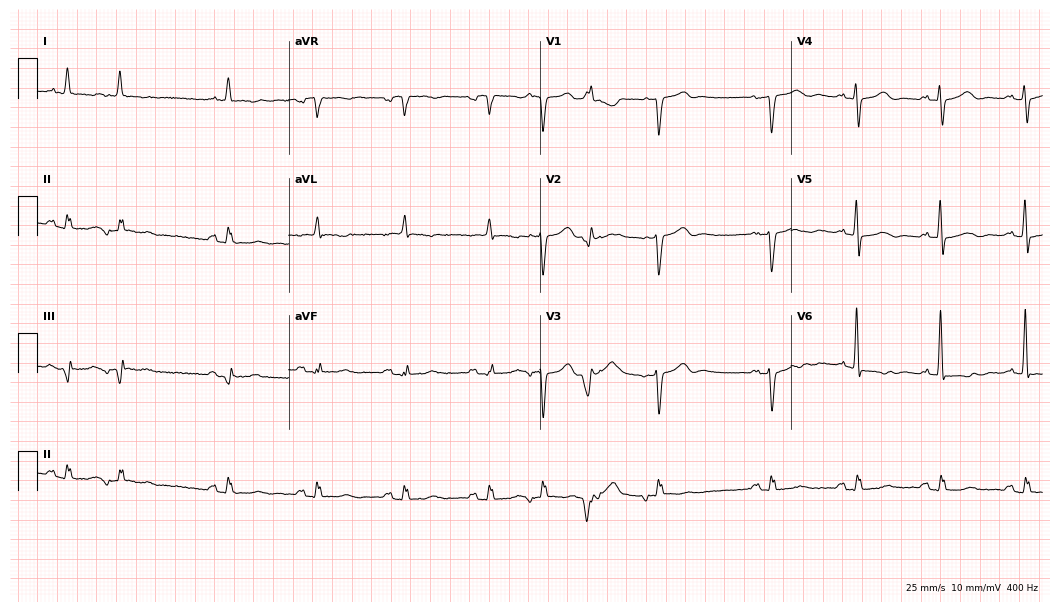
Electrocardiogram, a 77-year-old man. Of the six screened findings (first-degree AV block, right bundle branch block, left bundle branch block, sinus bradycardia, atrial fibrillation, sinus tachycardia), none is recorded.